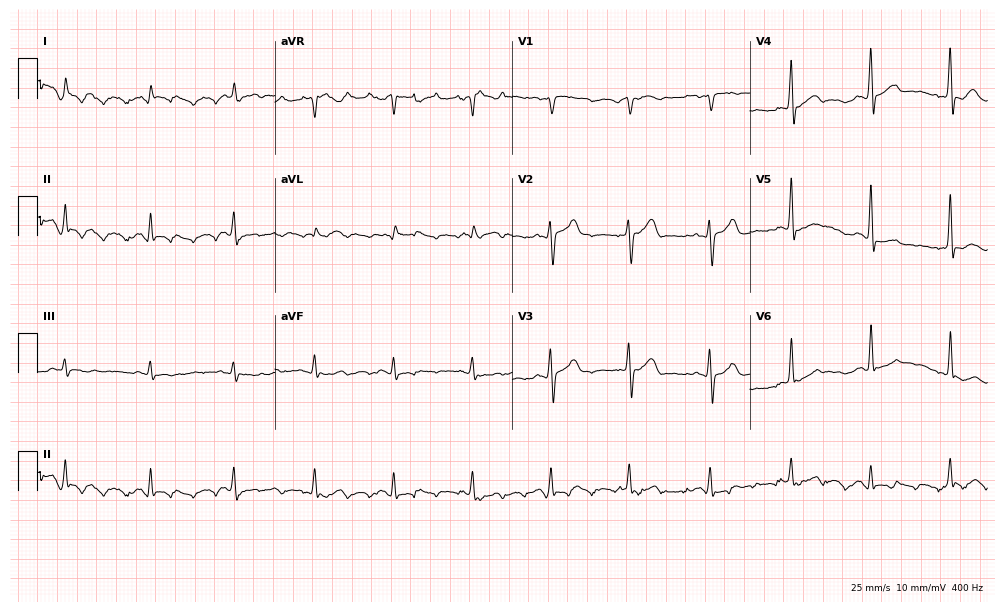
12-lead ECG from a man, 72 years old. Screened for six findings — first-degree AV block, right bundle branch block (RBBB), left bundle branch block (LBBB), sinus bradycardia, atrial fibrillation (AF), sinus tachycardia — none is recorded.